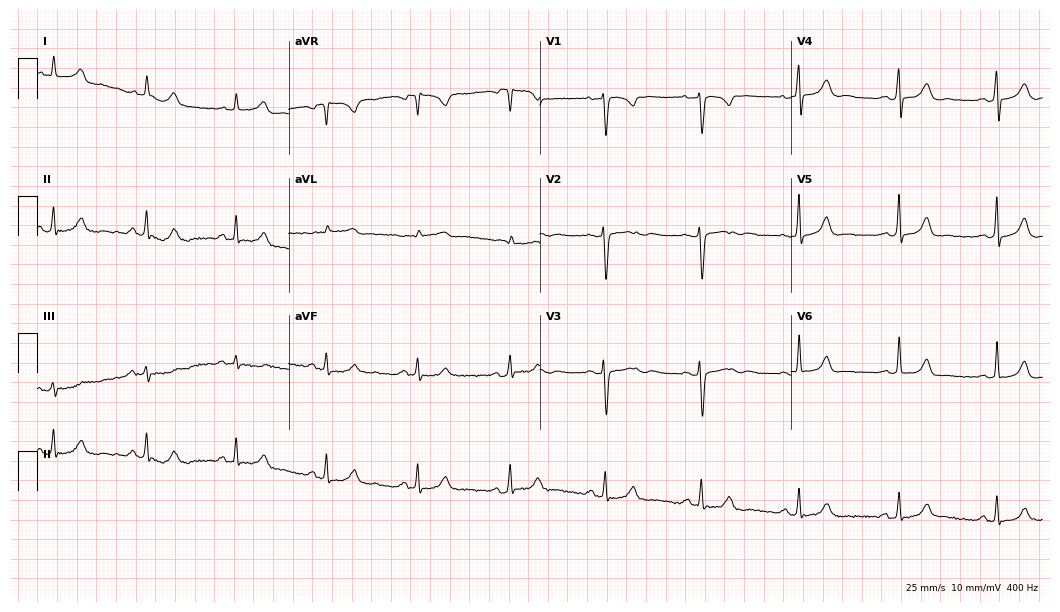
12-lead ECG from a 40-year-old woman (10.2-second recording at 400 Hz). Recorded interpretation: within normal limits.